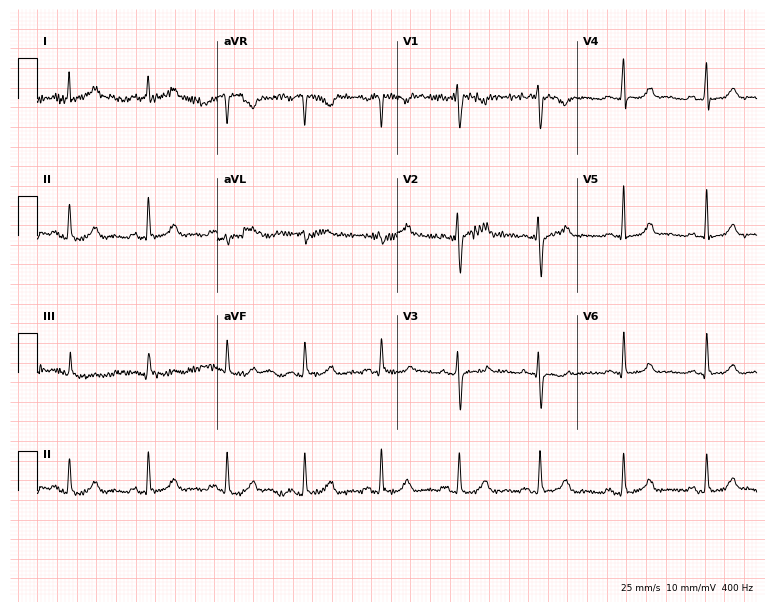
Electrocardiogram (7.3-second recording at 400 Hz), a female, 39 years old. Overall reading on record: normal ECG.